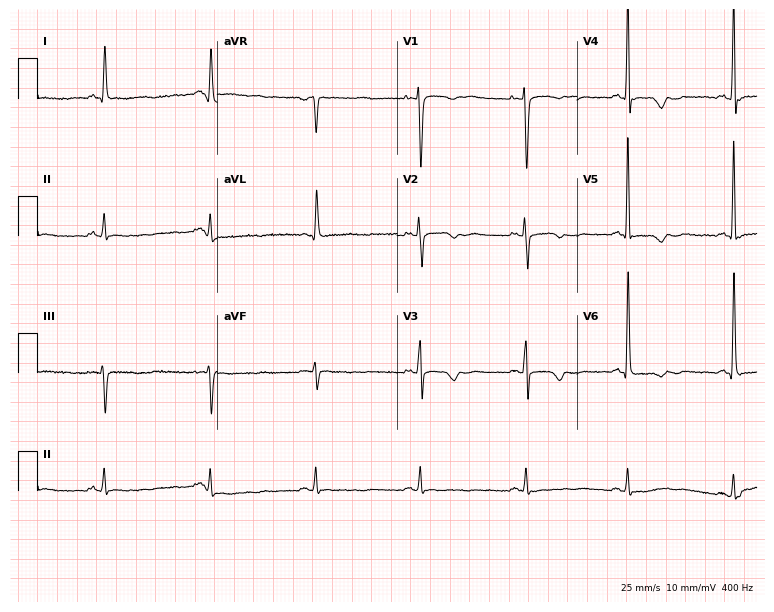
Standard 12-lead ECG recorded from an 85-year-old female. None of these six findings is recorded: first-degree AV block, right bundle branch block, left bundle branch block, sinus bradycardia, atrial fibrillation, sinus tachycardia. Other findings, if any, are not listed.